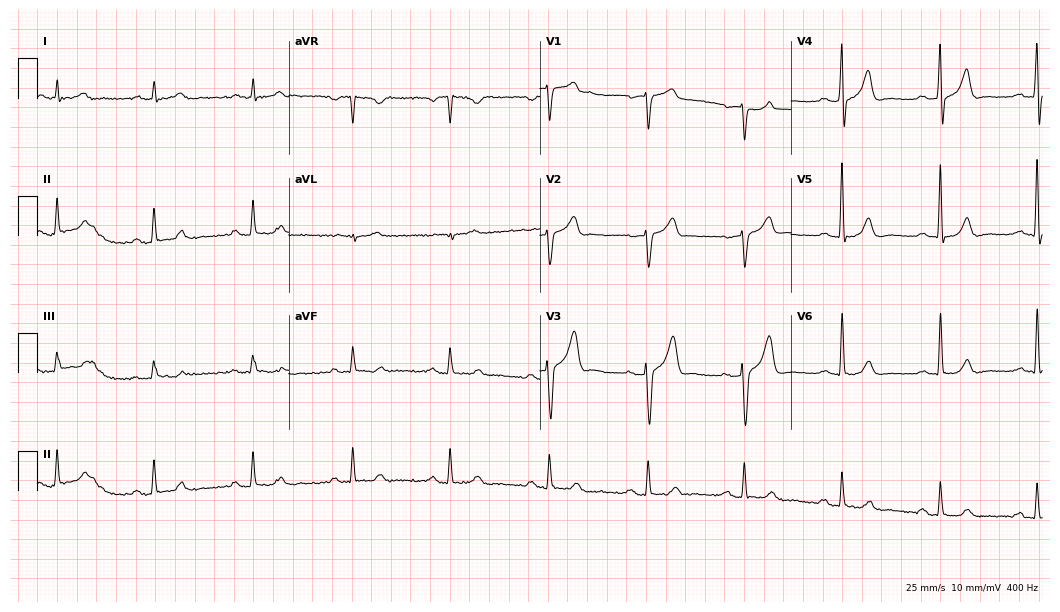
Standard 12-lead ECG recorded from a male patient, 75 years old (10.2-second recording at 400 Hz). Read as a normal ECG.